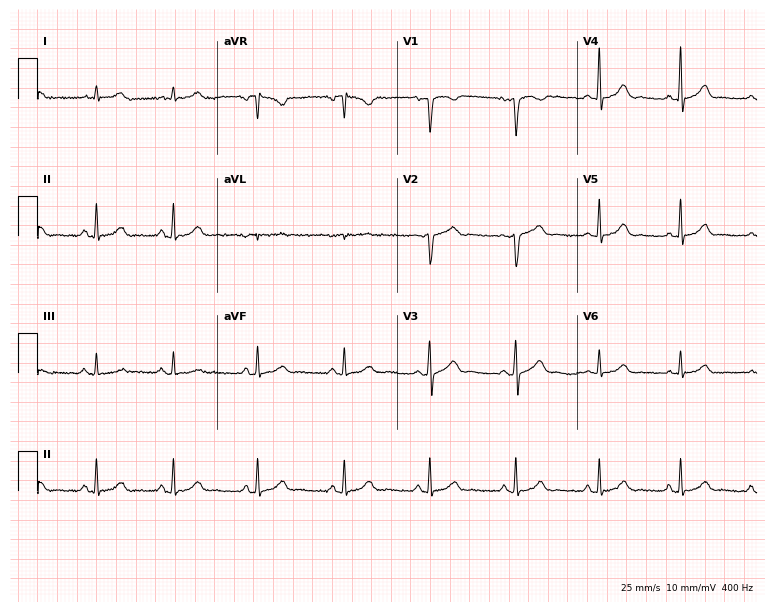
ECG — a woman, 37 years old. Screened for six findings — first-degree AV block, right bundle branch block, left bundle branch block, sinus bradycardia, atrial fibrillation, sinus tachycardia — none is recorded. Only these six findings were labelled.